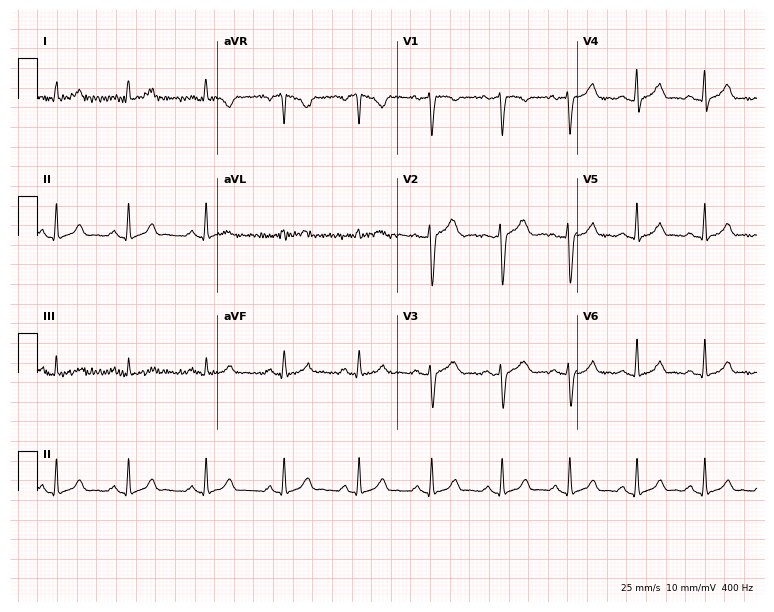
12-lead ECG from a 28-year-old woman. Recorded interpretation: within normal limits.